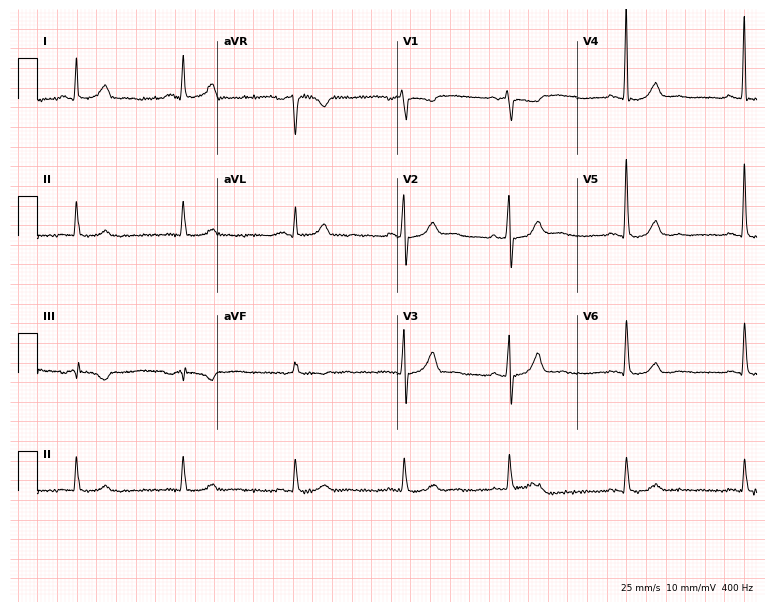
Electrocardiogram, a 49-year-old male patient. Overall reading on record: normal ECG.